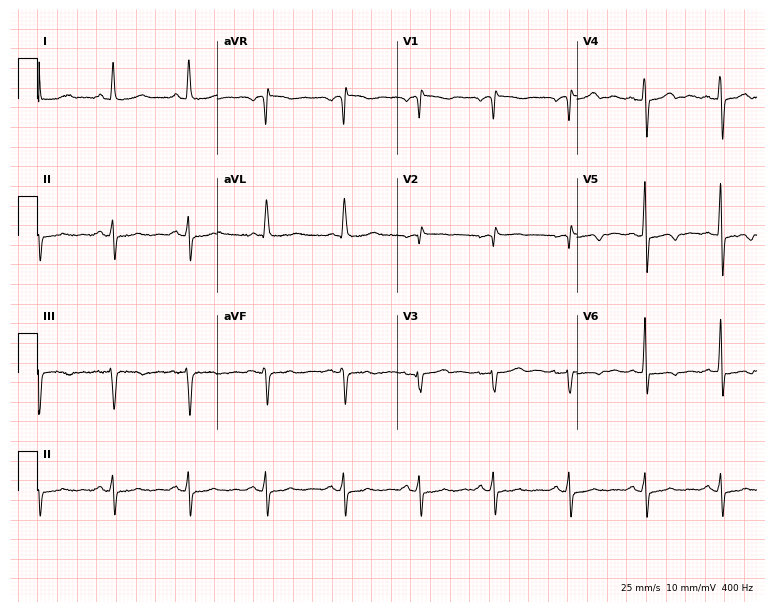
12-lead ECG from a 60-year-old female (7.3-second recording at 400 Hz). No first-degree AV block, right bundle branch block, left bundle branch block, sinus bradycardia, atrial fibrillation or sinus tachycardia recorded for this tracing. Findings outside these six are not listed.